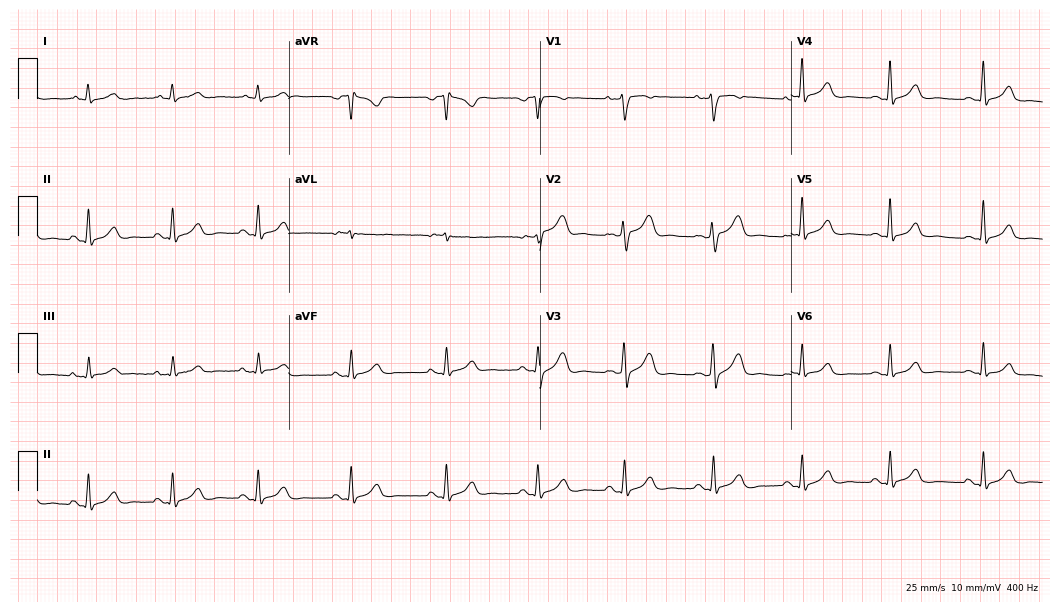
Resting 12-lead electrocardiogram. Patient: a woman, 51 years old. Read as a normal ECG.